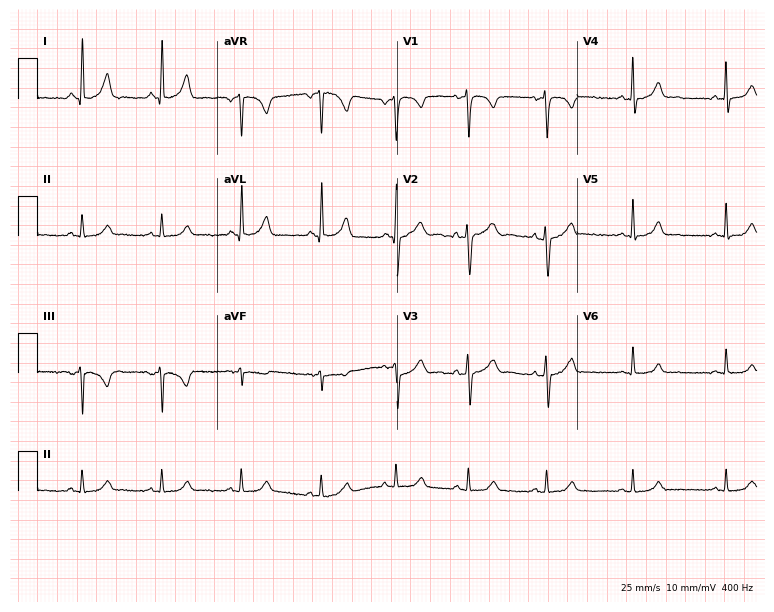
ECG — a female, 37 years old. Labelled as a normal ECG.